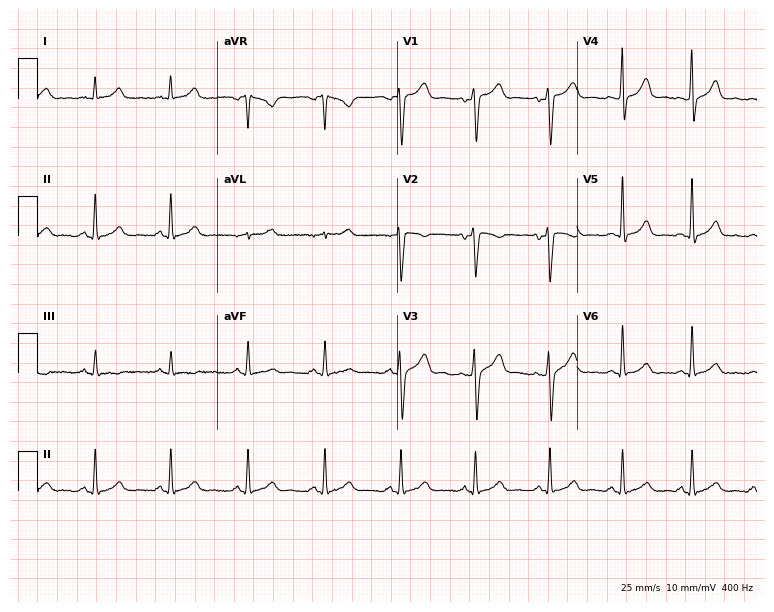
ECG — a 36-year-old man. Labelled as a normal ECG.